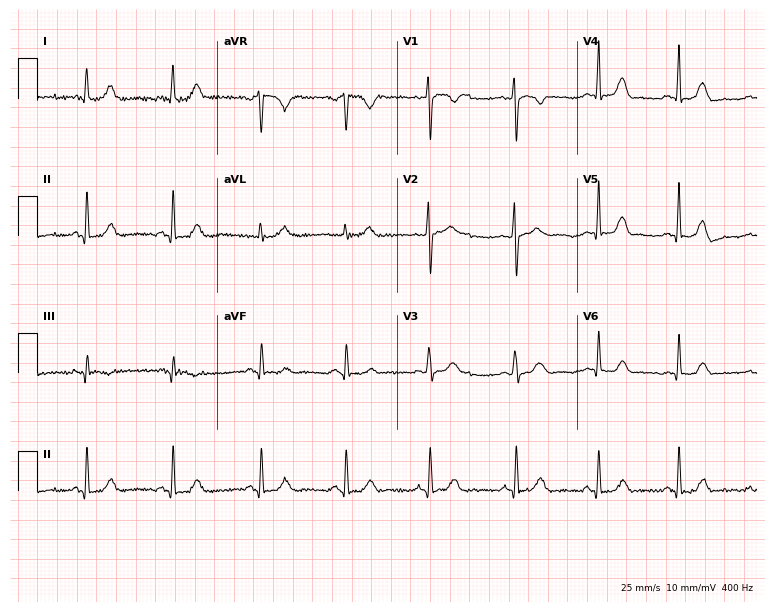
ECG (7.3-second recording at 400 Hz) — a female, 23 years old. Screened for six findings — first-degree AV block, right bundle branch block (RBBB), left bundle branch block (LBBB), sinus bradycardia, atrial fibrillation (AF), sinus tachycardia — none is recorded. Only these six findings were labelled.